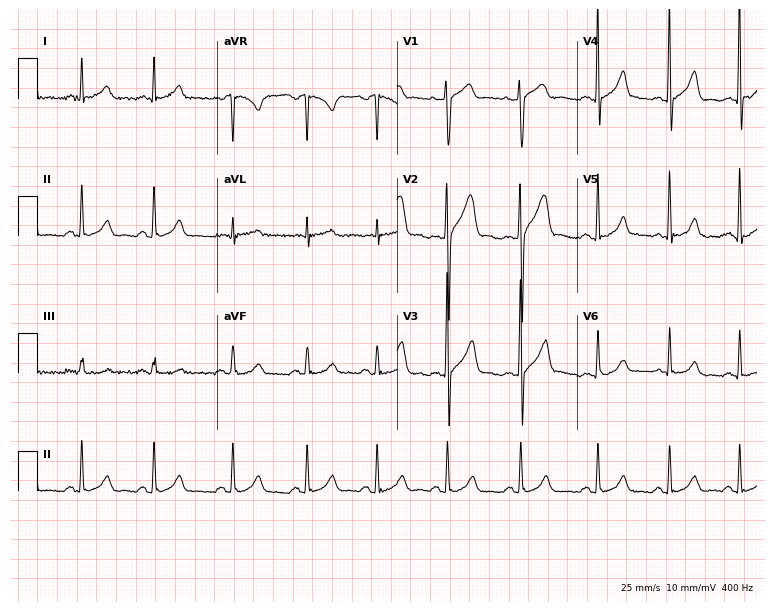
12-lead ECG (7.3-second recording at 400 Hz) from a man, 35 years old. Labelled as a normal ECG.